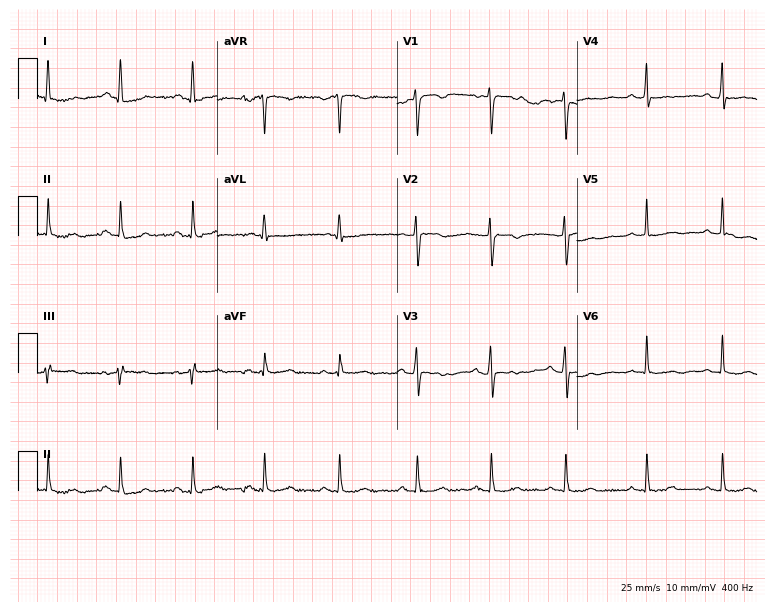
Resting 12-lead electrocardiogram. Patient: a woman, 30 years old. None of these six findings is recorded: first-degree AV block, right bundle branch block, left bundle branch block, sinus bradycardia, atrial fibrillation, sinus tachycardia. Findings outside these six are not listed.